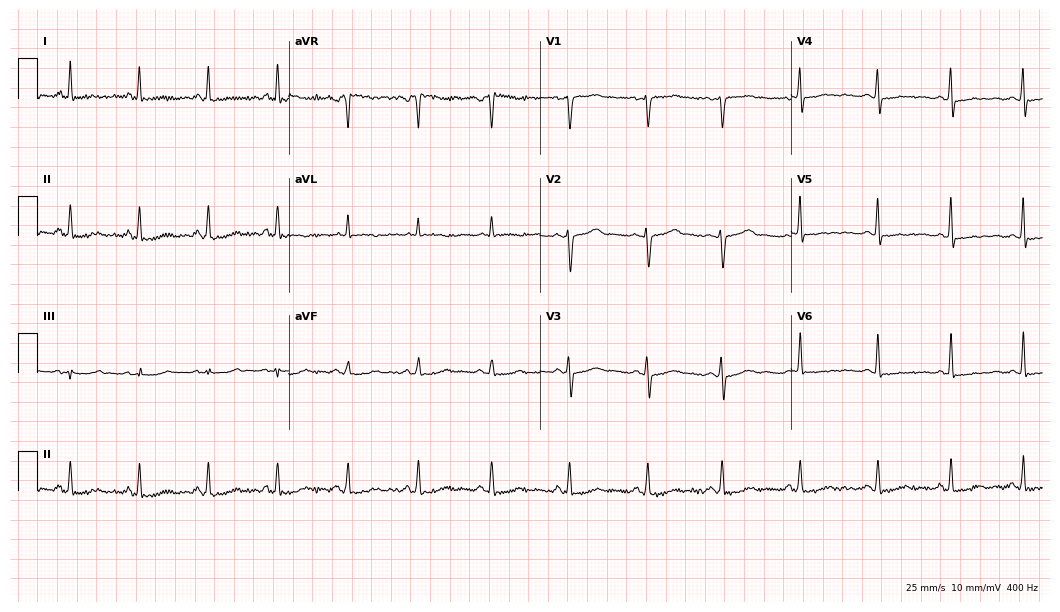
Electrocardiogram (10.2-second recording at 400 Hz), a 37-year-old female patient. Of the six screened findings (first-degree AV block, right bundle branch block, left bundle branch block, sinus bradycardia, atrial fibrillation, sinus tachycardia), none is recorded.